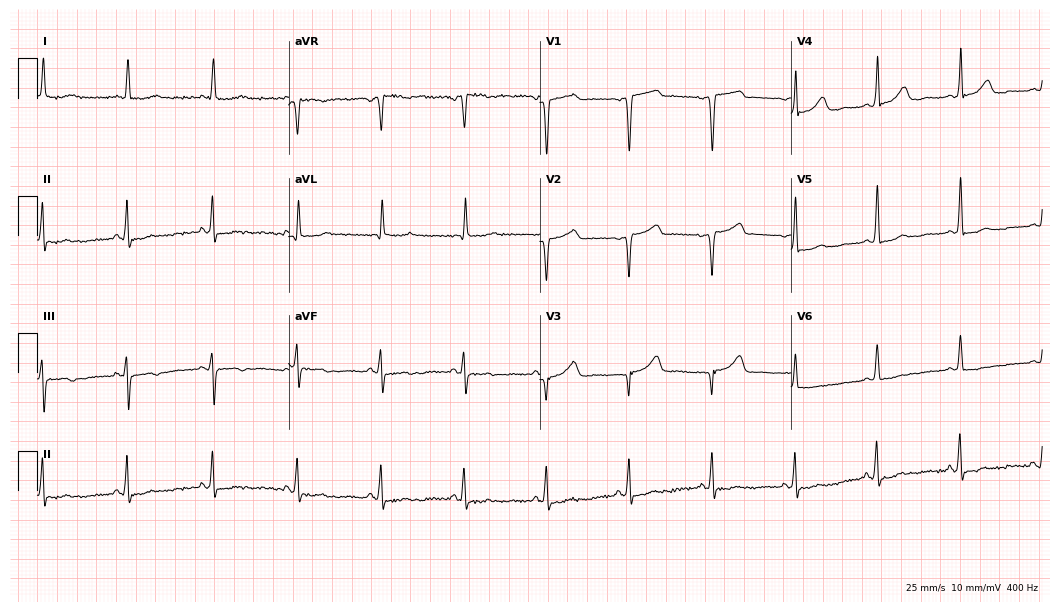
Standard 12-lead ECG recorded from a female patient, 58 years old (10.2-second recording at 400 Hz). None of these six findings is recorded: first-degree AV block, right bundle branch block, left bundle branch block, sinus bradycardia, atrial fibrillation, sinus tachycardia.